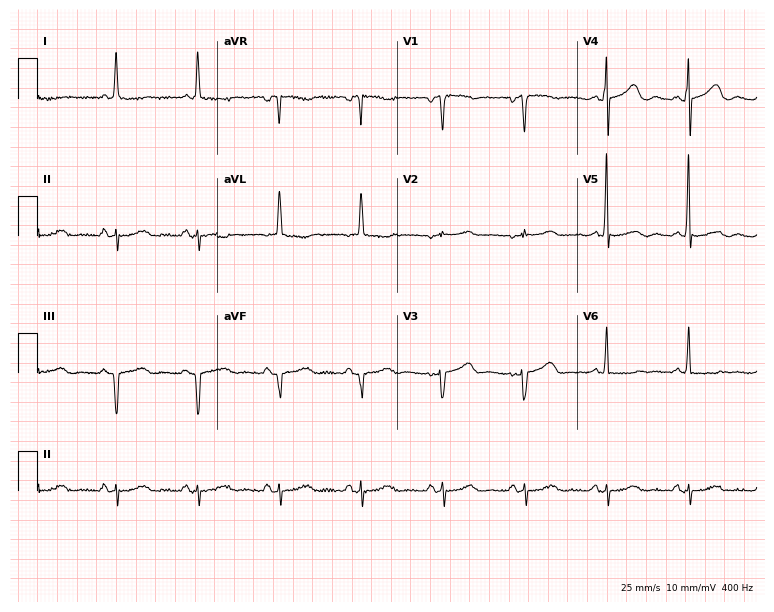
12-lead ECG from an 84-year-old woman. Screened for six findings — first-degree AV block, right bundle branch block, left bundle branch block, sinus bradycardia, atrial fibrillation, sinus tachycardia — none is recorded.